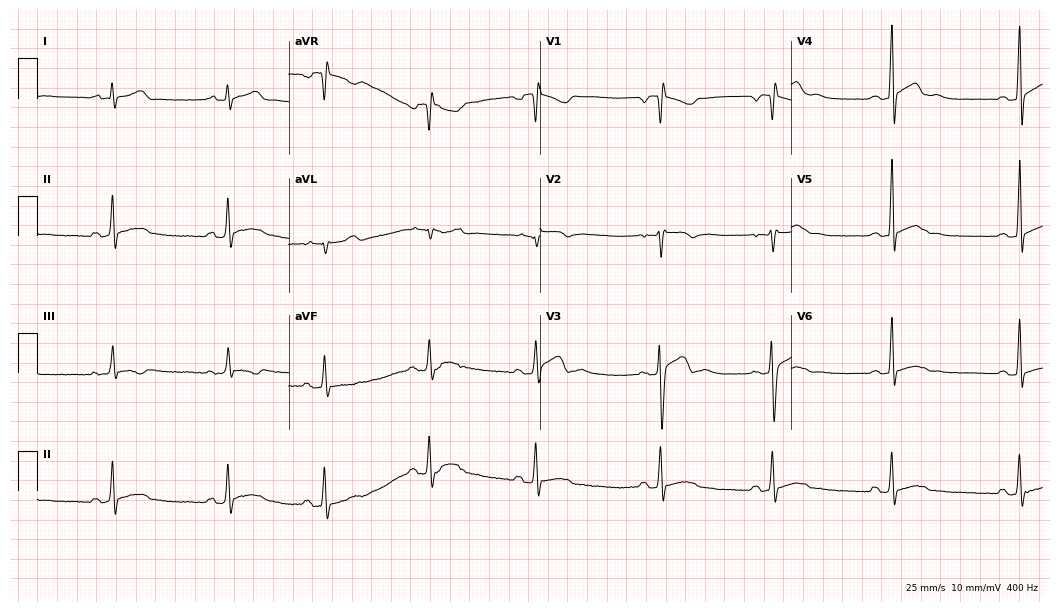
12-lead ECG from a 17-year-old male patient (10.2-second recording at 400 Hz). No first-degree AV block, right bundle branch block, left bundle branch block, sinus bradycardia, atrial fibrillation or sinus tachycardia recorded for this tracing. Only these six findings were labelled.